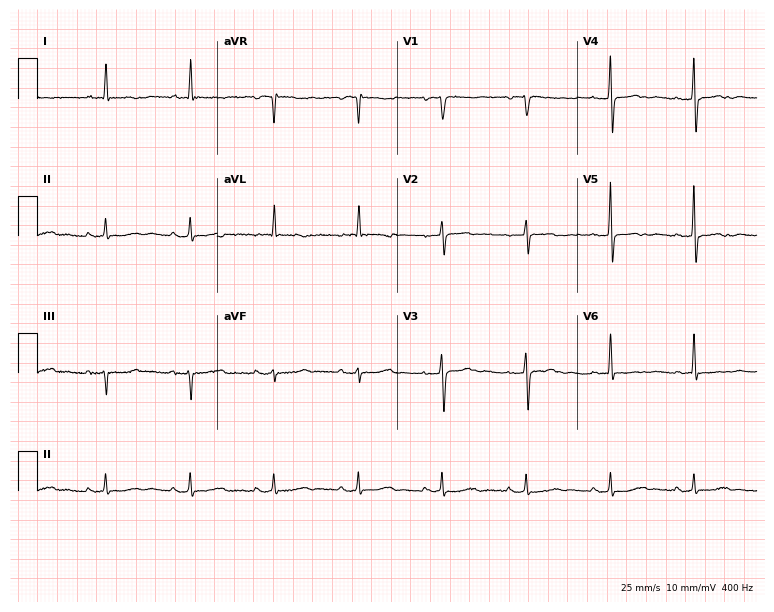
Standard 12-lead ECG recorded from an 85-year-old female patient. Read as a normal ECG.